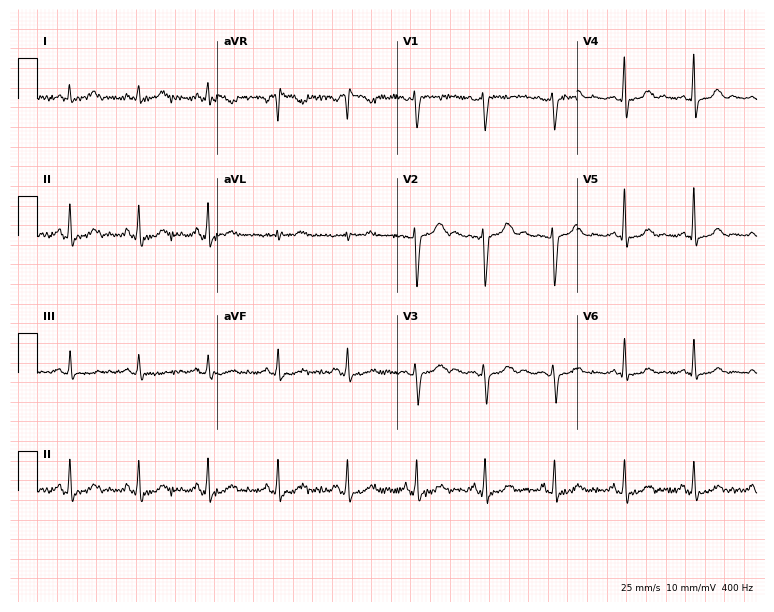
12-lead ECG (7.3-second recording at 400 Hz) from a woman, 46 years old. Screened for six findings — first-degree AV block, right bundle branch block, left bundle branch block, sinus bradycardia, atrial fibrillation, sinus tachycardia — none is recorded. Findings outside these six are not listed.